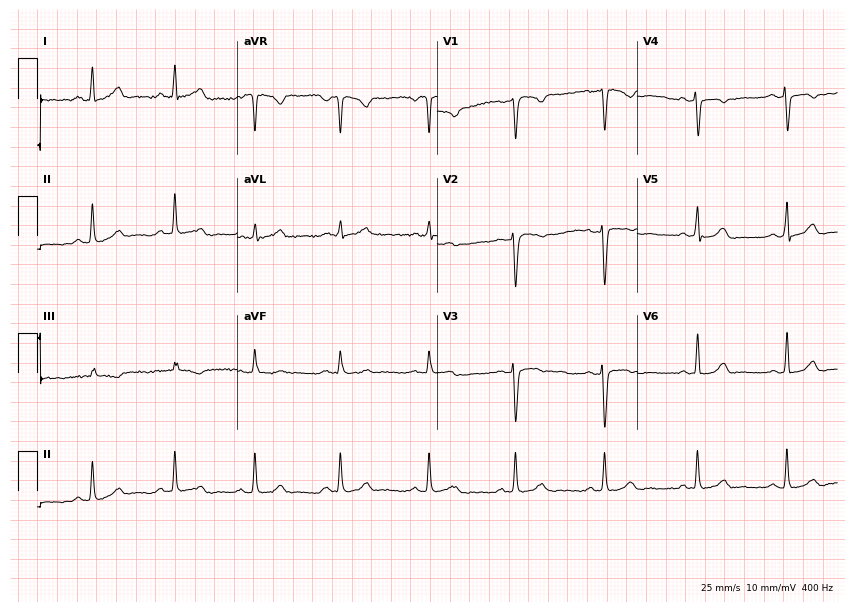
Electrocardiogram (8.2-second recording at 400 Hz), a 44-year-old female patient. Overall reading on record: normal ECG.